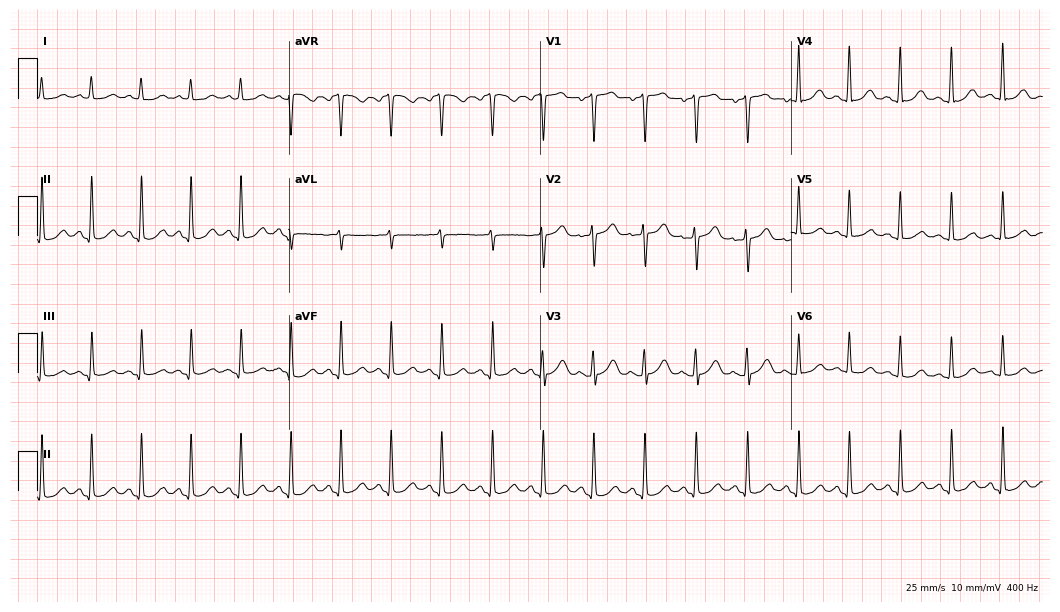
12-lead ECG from a female patient, 54 years old (10.2-second recording at 400 Hz). Shows sinus tachycardia (a sinus rate of 100 beats per minute or more).